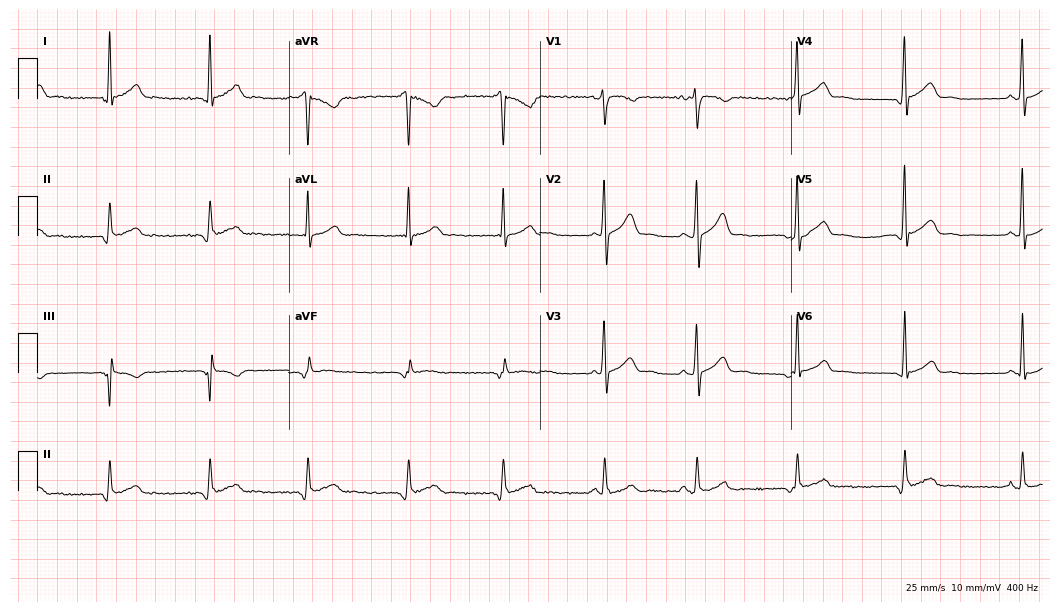
Standard 12-lead ECG recorded from a 39-year-old male patient. None of these six findings is recorded: first-degree AV block, right bundle branch block (RBBB), left bundle branch block (LBBB), sinus bradycardia, atrial fibrillation (AF), sinus tachycardia.